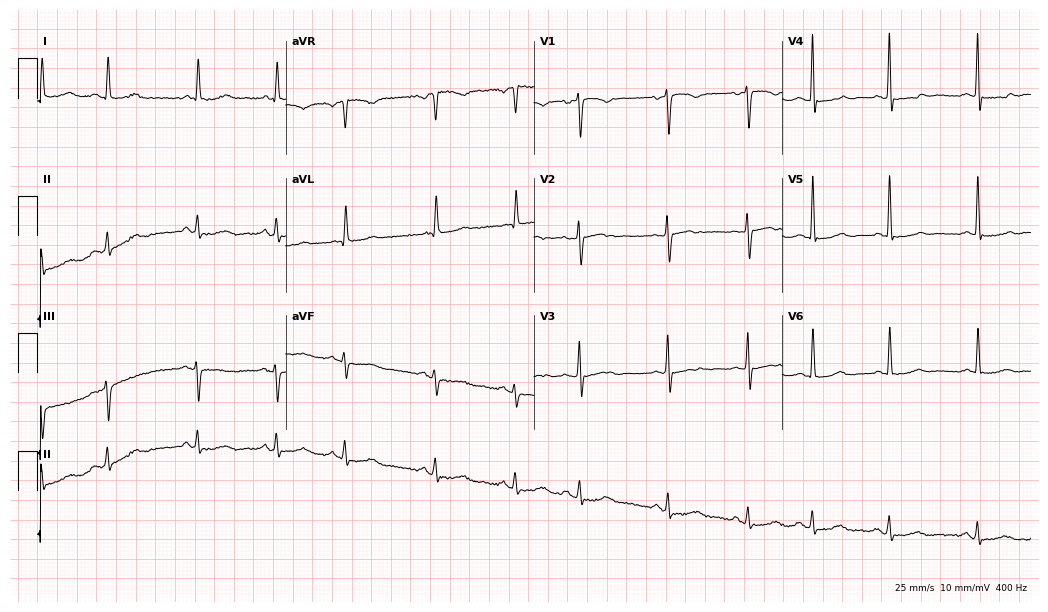
Resting 12-lead electrocardiogram (10.1-second recording at 400 Hz). Patient: a female, 81 years old. None of these six findings is recorded: first-degree AV block, right bundle branch block, left bundle branch block, sinus bradycardia, atrial fibrillation, sinus tachycardia.